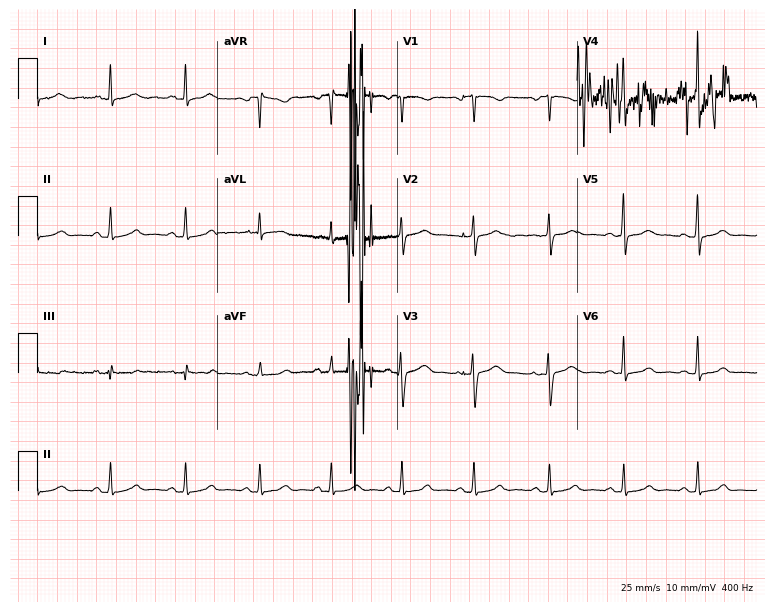
ECG (7.3-second recording at 400 Hz) — a 42-year-old female. Labelled as a normal ECG.